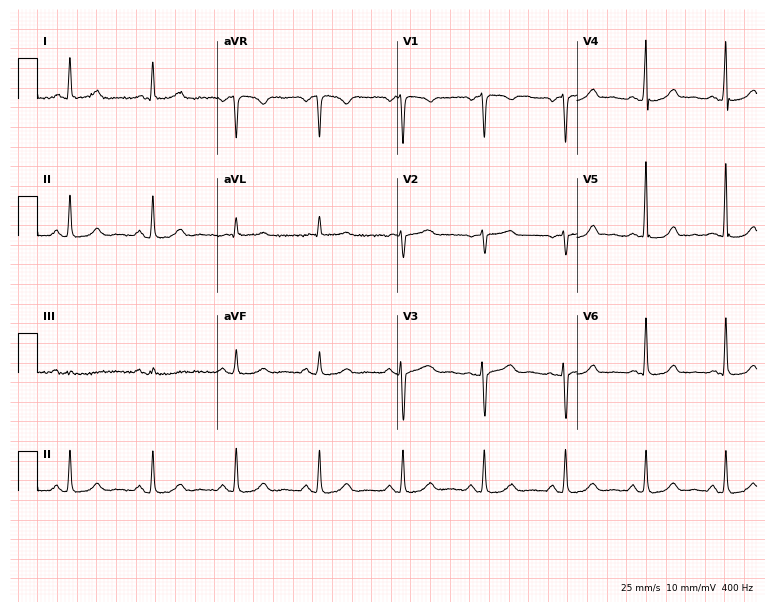
12-lead ECG (7.3-second recording at 400 Hz) from a female patient, 54 years old. Screened for six findings — first-degree AV block, right bundle branch block, left bundle branch block, sinus bradycardia, atrial fibrillation, sinus tachycardia — none is recorded.